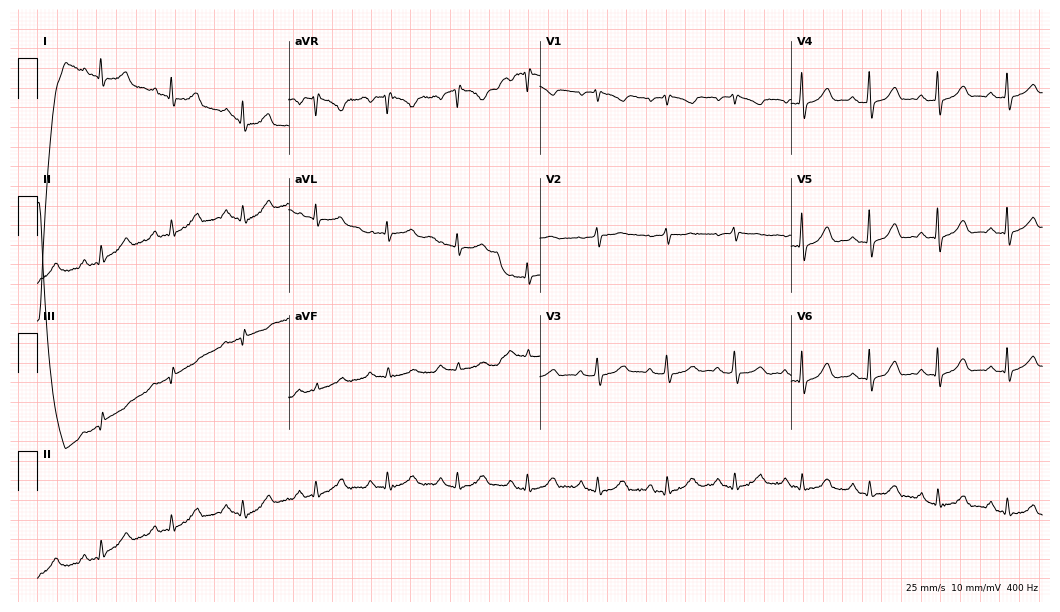
12-lead ECG from a 48-year-old female patient. Recorded interpretation: within normal limits.